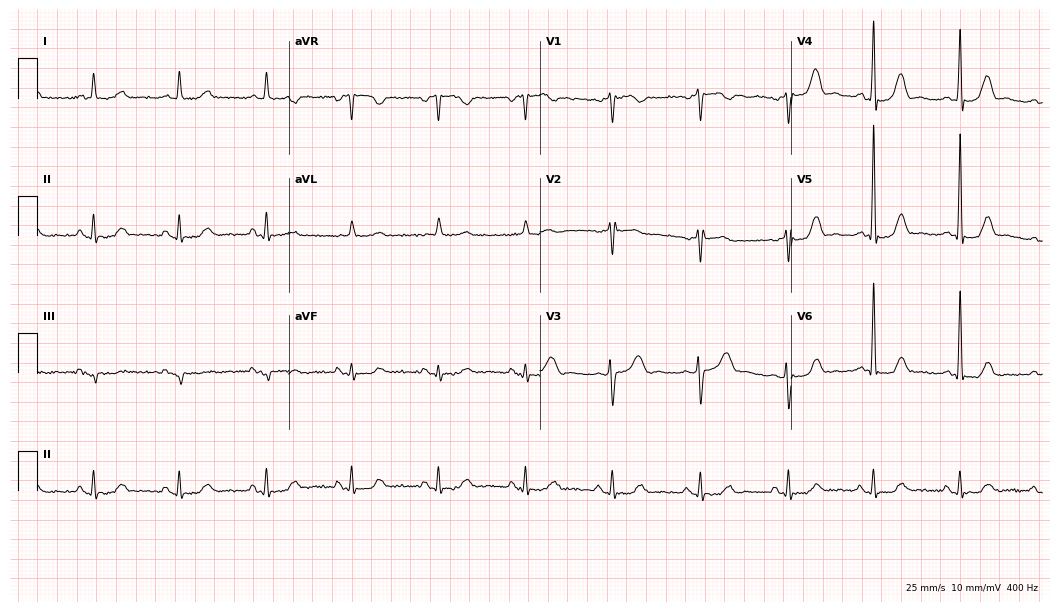
Electrocardiogram, a 71-year-old female. Of the six screened findings (first-degree AV block, right bundle branch block, left bundle branch block, sinus bradycardia, atrial fibrillation, sinus tachycardia), none is recorded.